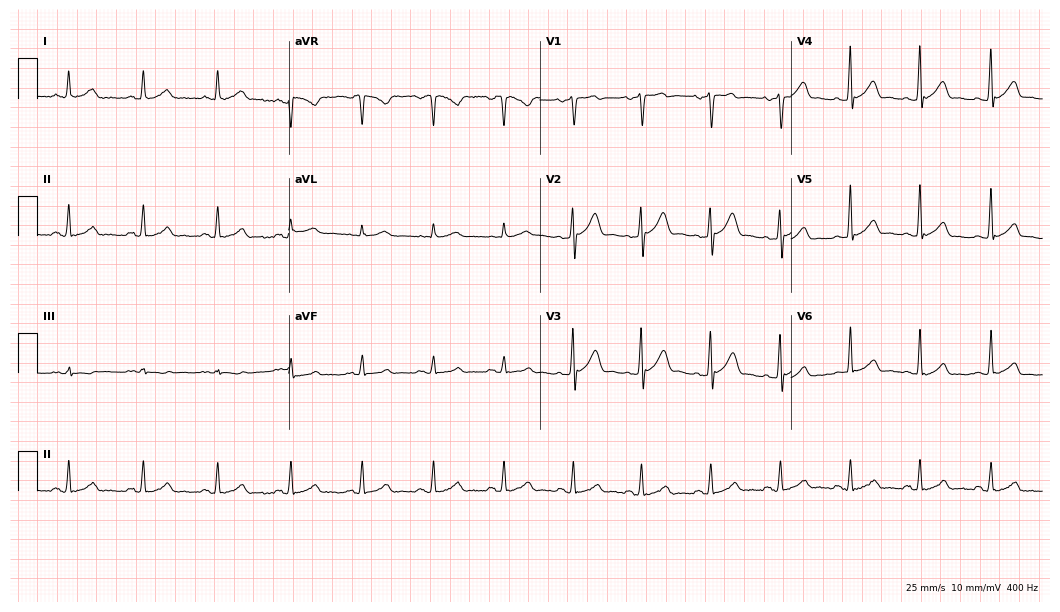
Electrocardiogram (10.2-second recording at 400 Hz), a male patient, 36 years old. Overall reading on record: normal ECG.